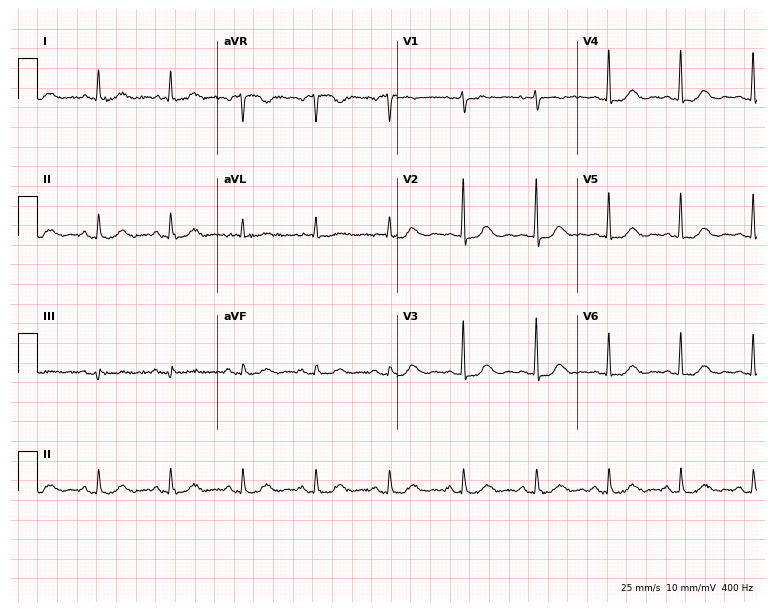
Standard 12-lead ECG recorded from a female, 74 years old (7.3-second recording at 400 Hz). Read as a normal ECG.